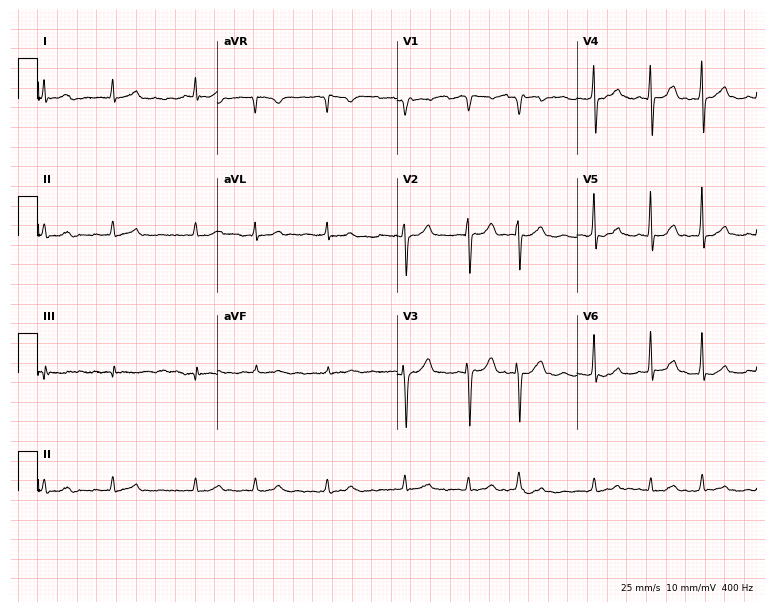
ECG (7.3-second recording at 400 Hz) — a woman, 79 years old. Findings include atrial fibrillation (AF).